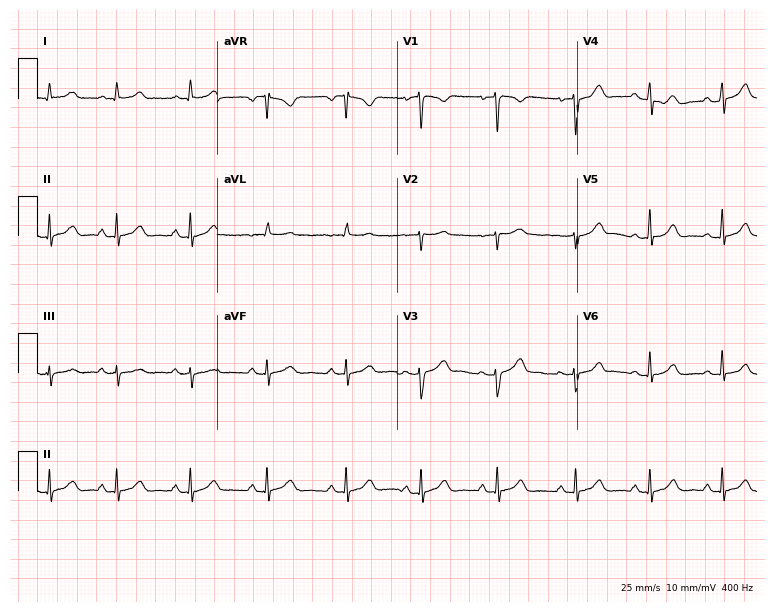
Resting 12-lead electrocardiogram (7.3-second recording at 400 Hz). Patient: a female, 37 years old. Read as a normal ECG.